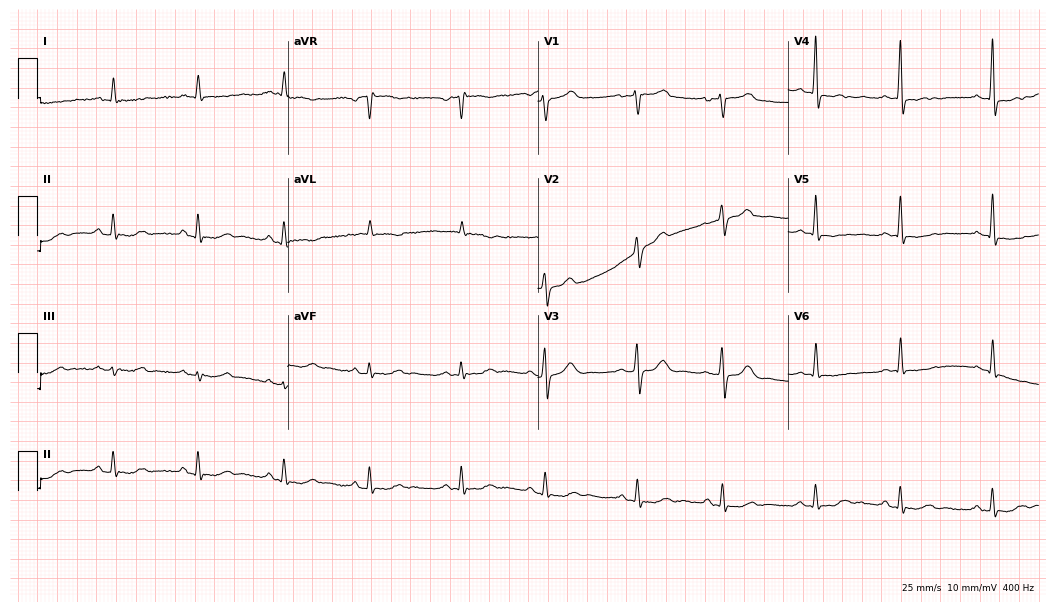
12-lead ECG from a 65-year-old female. Screened for six findings — first-degree AV block, right bundle branch block, left bundle branch block, sinus bradycardia, atrial fibrillation, sinus tachycardia — none is recorded.